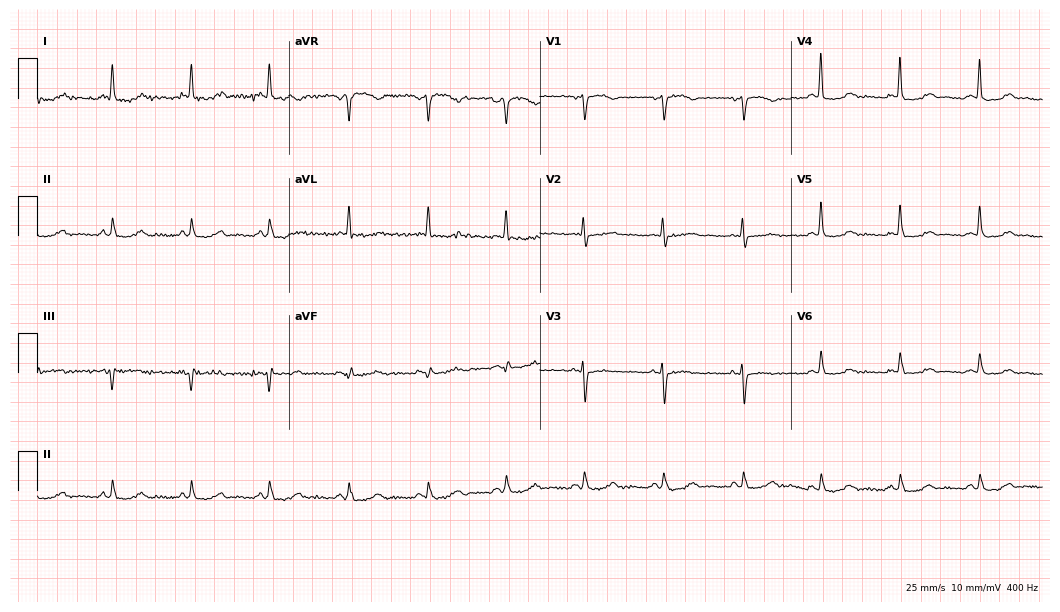
ECG — a 66-year-old woman. Labelled as a normal ECG.